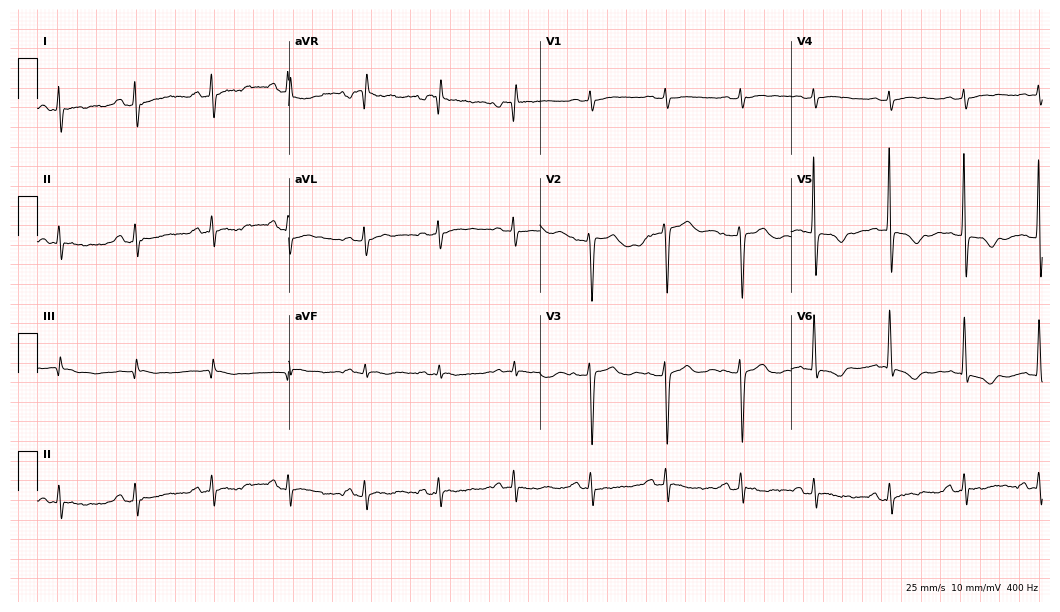
12-lead ECG (10.2-second recording at 400 Hz) from a woman, 80 years old. Screened for six findings — first-degree AV block, right bundle branch block (RBBB), left bundle branch block (LBBB), sinus bradycardia, atrial fibrillation (AF), sinus tachycardia — none is recorded. Only these six findings were labelled.